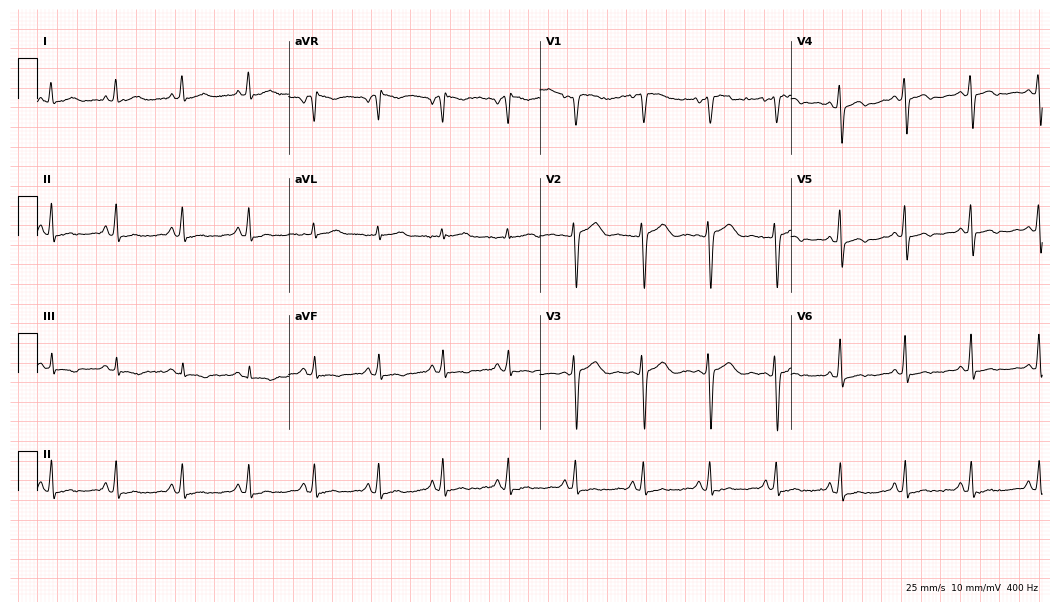
Electrocardiogram (10.2-second recording at 400 Hz), a female patient, 36 years old. Of the six screened findings (first-degree AV block, right bundle branch block, left bundle branch block, sinus bradycardia, atrial fibrillation, sinus tachycardia), none is recorded.